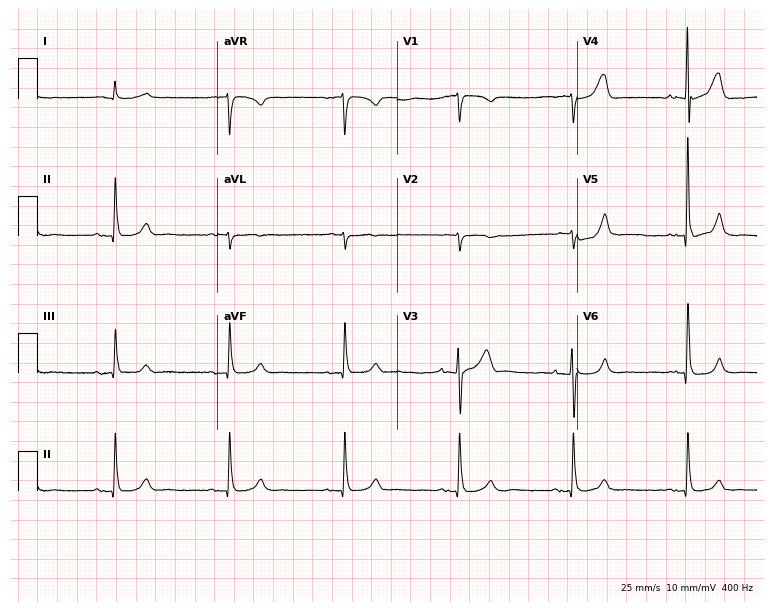
12-lead ECG (7.3-second recording at 400 Hz) from a man, 60 years old. Labelled as a normal ECG.